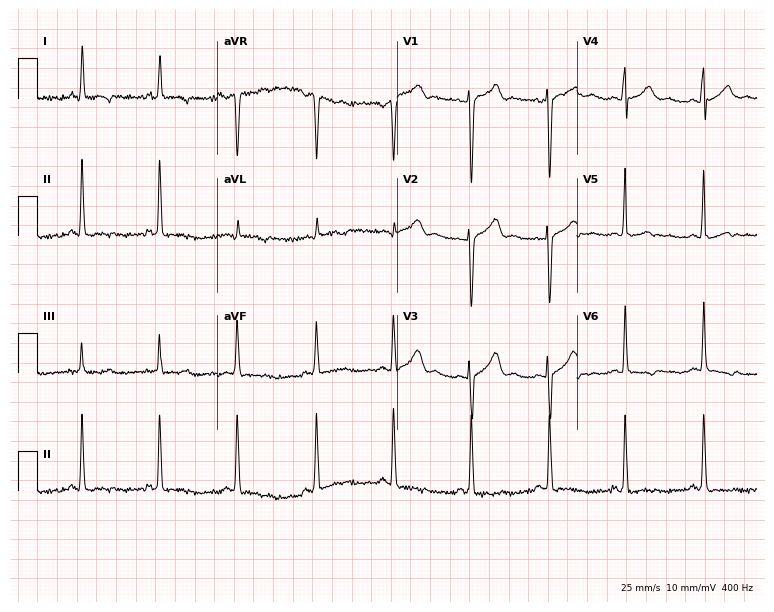
ECG (7.3-second recording at 400 Hz) — a female patient, 34 years old. Screened for six findings — first-degree AV block, right bundle branch block, left bundle branch block, sinus bradycardia, atrial fibrillation, sinus tachycardia — none is recorded.